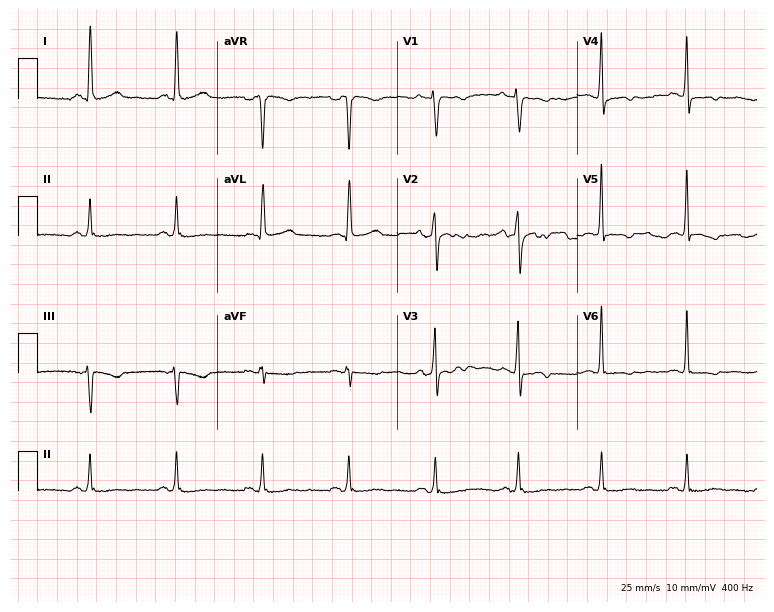
12-lead ECG from a woman, 56 years old (7.3-second recording at 400 Hz). Recorded interpretation: within normal limits.